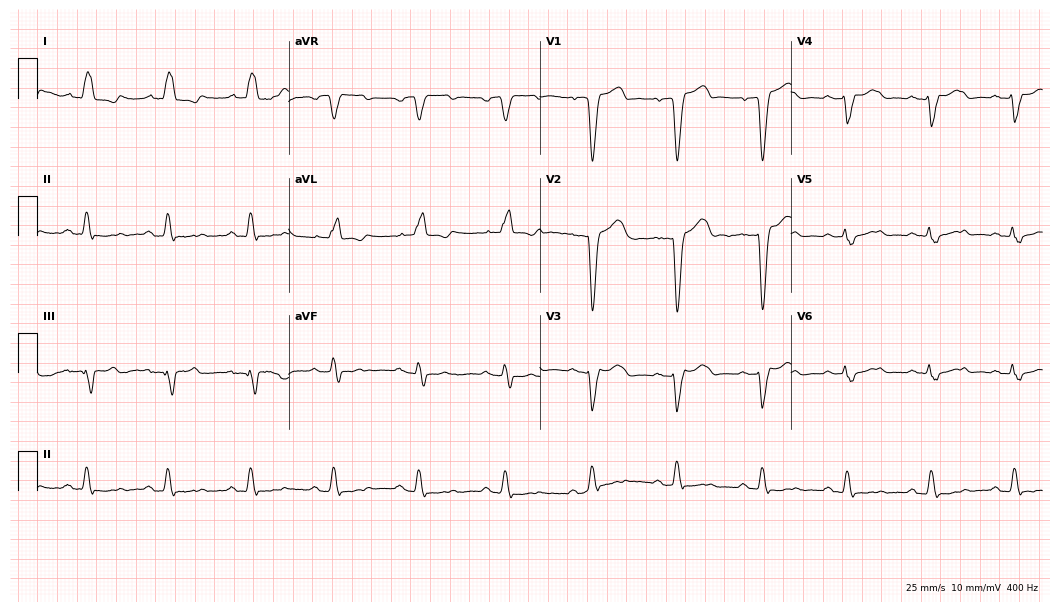
Resting 12-lead electrocardiogram. Patient: a 74-year-old man. The tracing shows left bundle branch block.